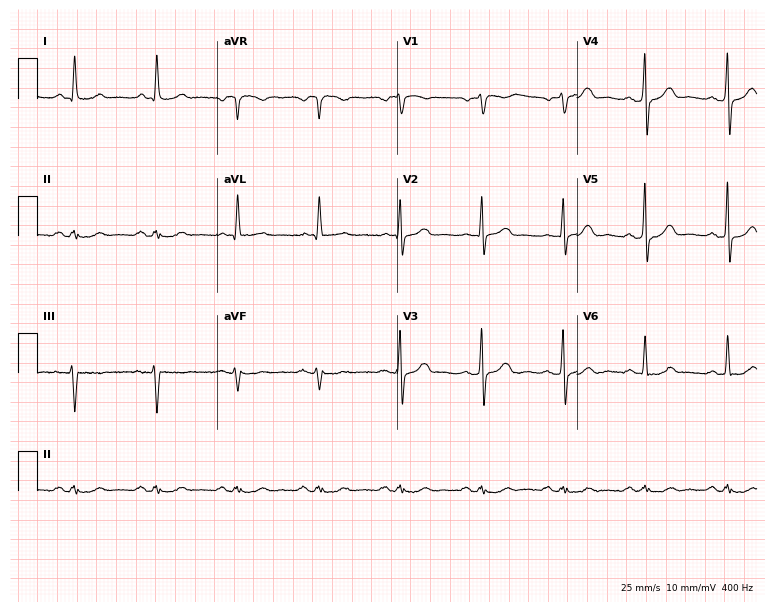
12-lead ECG from a 77-year-old male patient. No first-degree AV block, right bundle branch block, left bundle branch block, sinus bradycardia, atrial fibrillation or sinus tachycardia recorded for this tracing. Only these six findings were labelled.